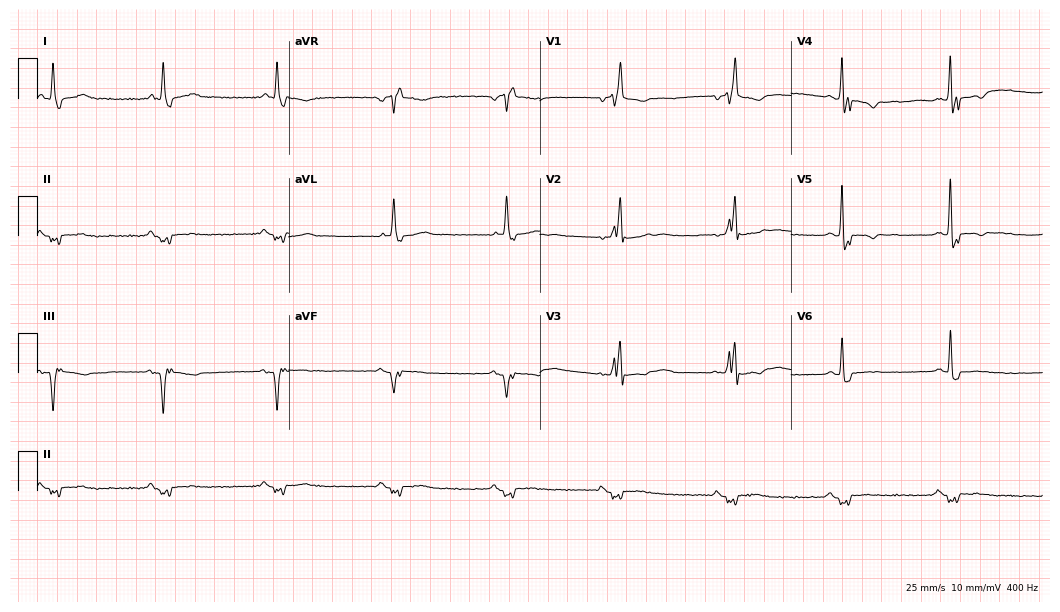
12-lead ECG from a 65-year-old male. No first-degree AV block, right bundle branch block, left bundle branch block, sinus bradycardia, atrial fibrillation or sinus tachycardia recorded for this tracing.